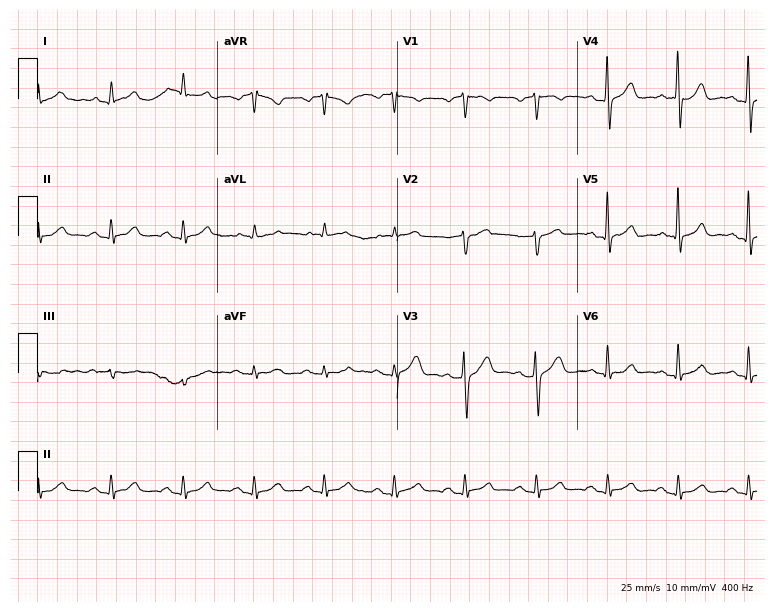
ECG — a 61-year-old male patient. Labelled as a normal ECG.